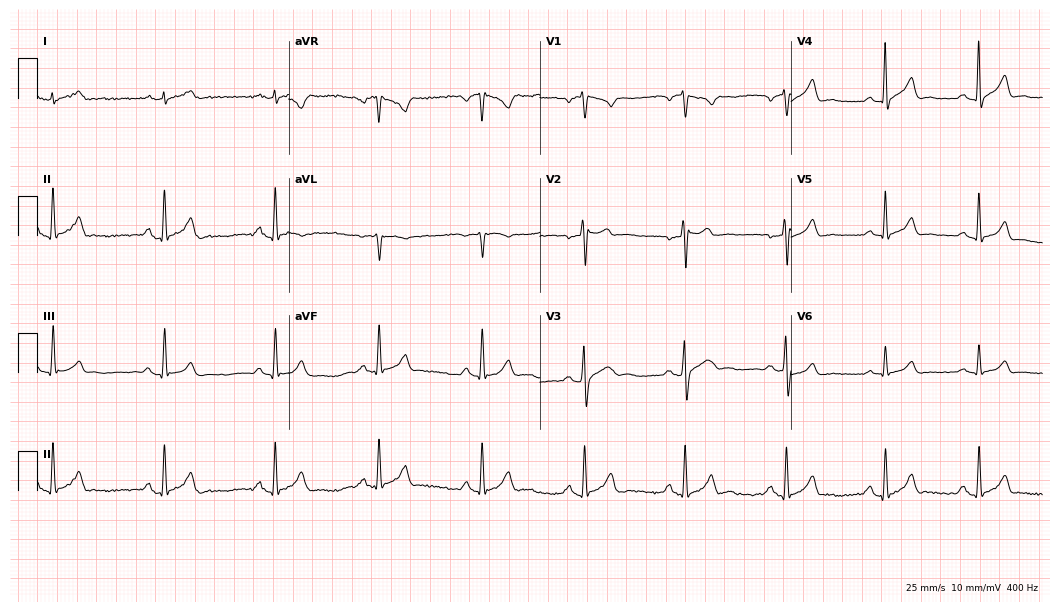
12-lead ECG (10.2-second recording at 400 Hz) from a man, 25 years old. Screened for six findings — first-degree AV block, right bundle branch block, left bundle branch block, sinus bradycardia, atrial fibrillation, sinus tachycardia — none is recorded.